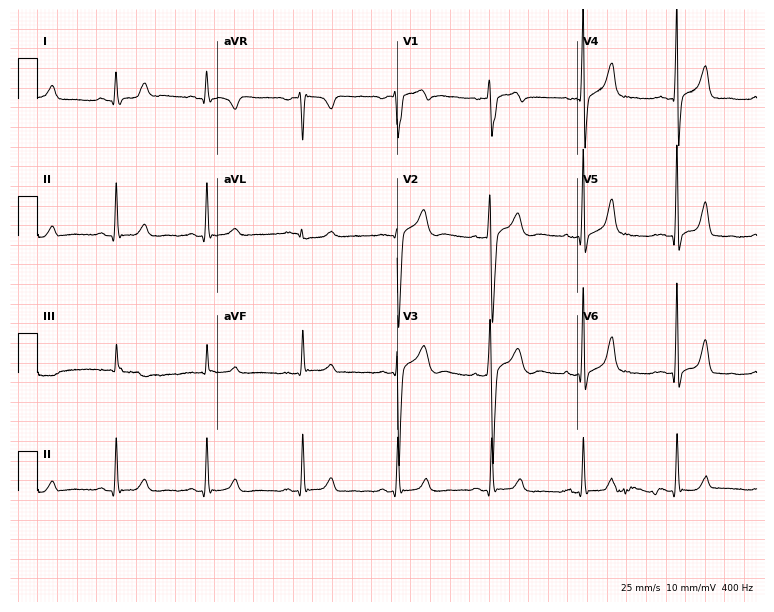
Electrocardiogram, a 28-year-old male. Of the six screened findings (first-degree AV block, right bundle branch block, left bundle branch block, sinus bradycardia, atrial fibrillation, sinus tachycardia), none is recorded.